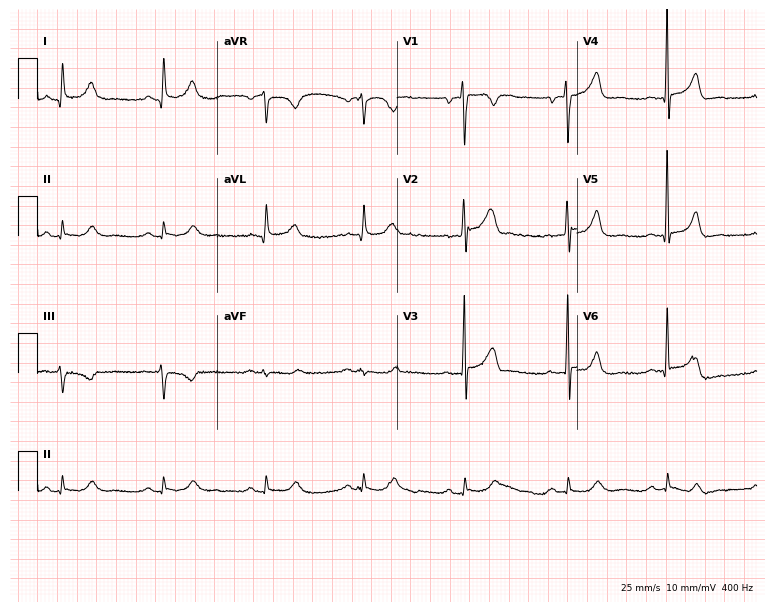
12-lead ECG from a male, 47 years old (7.3-second recording at 400 Hz). Recorded interpretation: within normal limits.